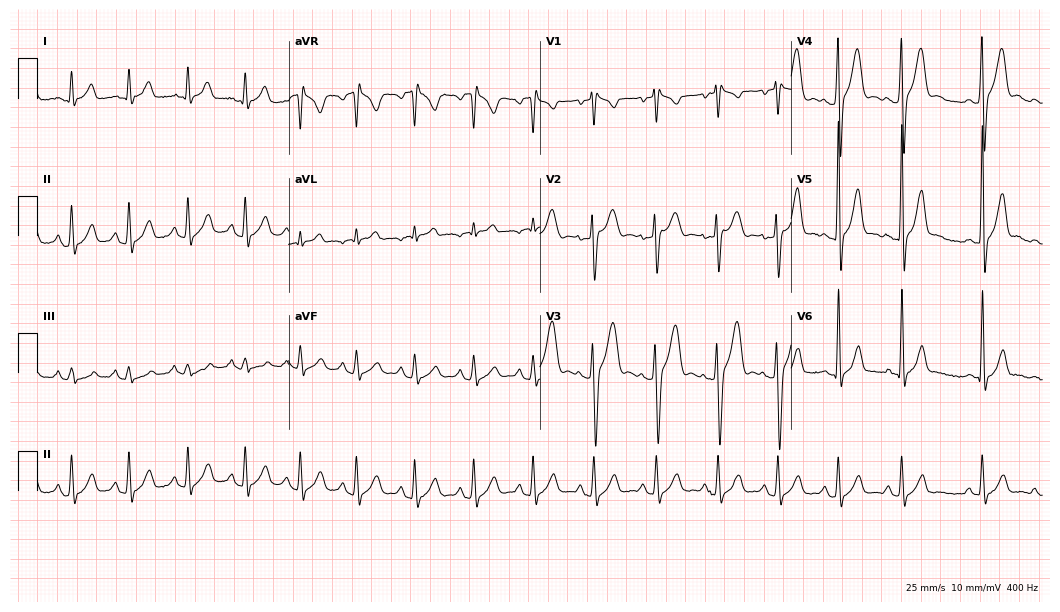
Resting 12-lead electrocardiogram (10.2-second recording at 400 Hz). Patient: a 19-year-old male. None of these six findings is recorded: first-degree AV block, right bundle branch block, left bundle branch block, sinus bradycardia, atrial fibrillation, sinus tachycardia. Findings outside these six are not listed.